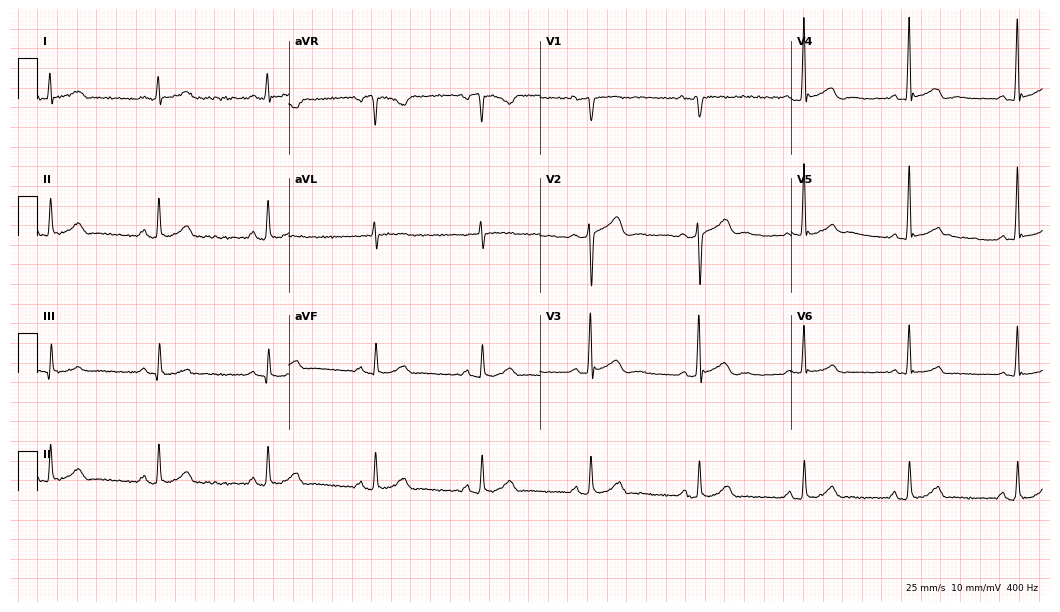
12-lead ECG from a 44-year-old male. No first-degree AV block, right bundle branch block (RBBB), left bundle branch block (LBBB), sinus bradycardia, atrial fibrillation (AF) or sinus tachycardia recorded for this tracing.